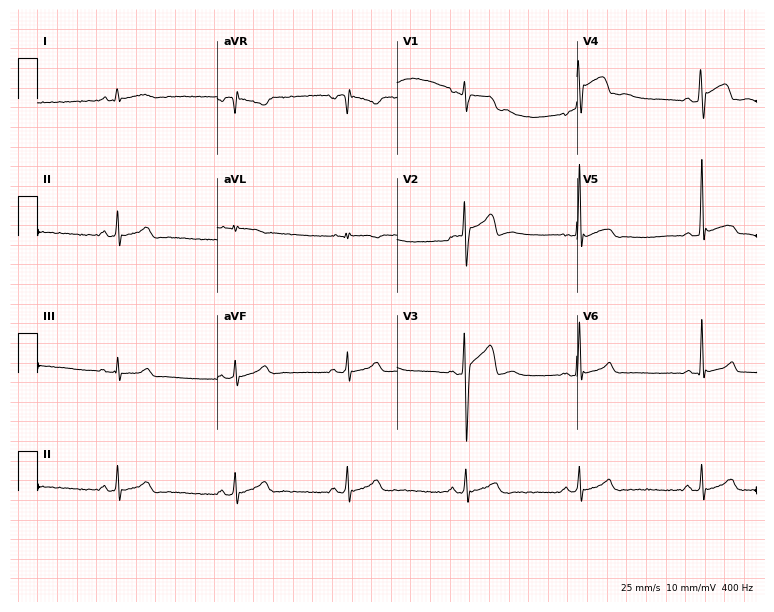
12-lead ECG (7.3-second recording at 400 Hz) from a 26-year-old male. Findings include sinus bradycardia (a sinus rate of 50 beats per minute or less).